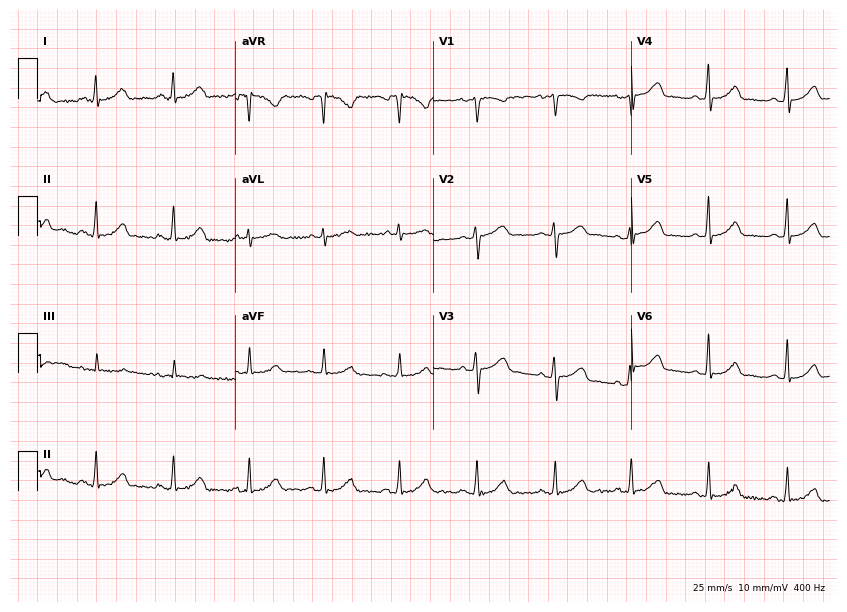
Standard 12-lead ECG recorded from a female, 42 years old. Read as a normal ECG.